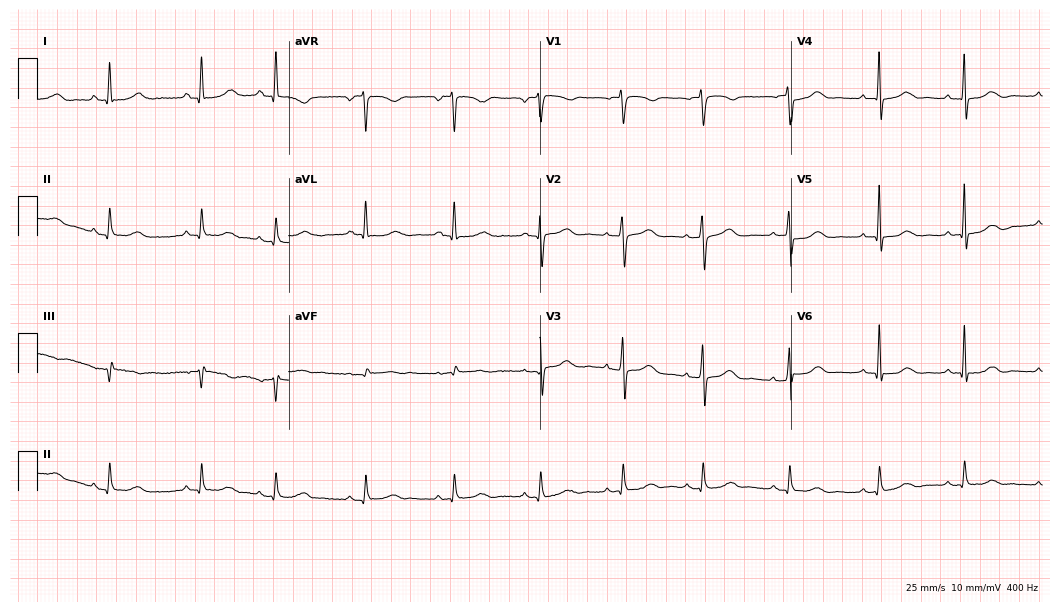
Resting 12-lead electrocardiogram. Patient: a female, 67 years old. Read as a normal ECG.